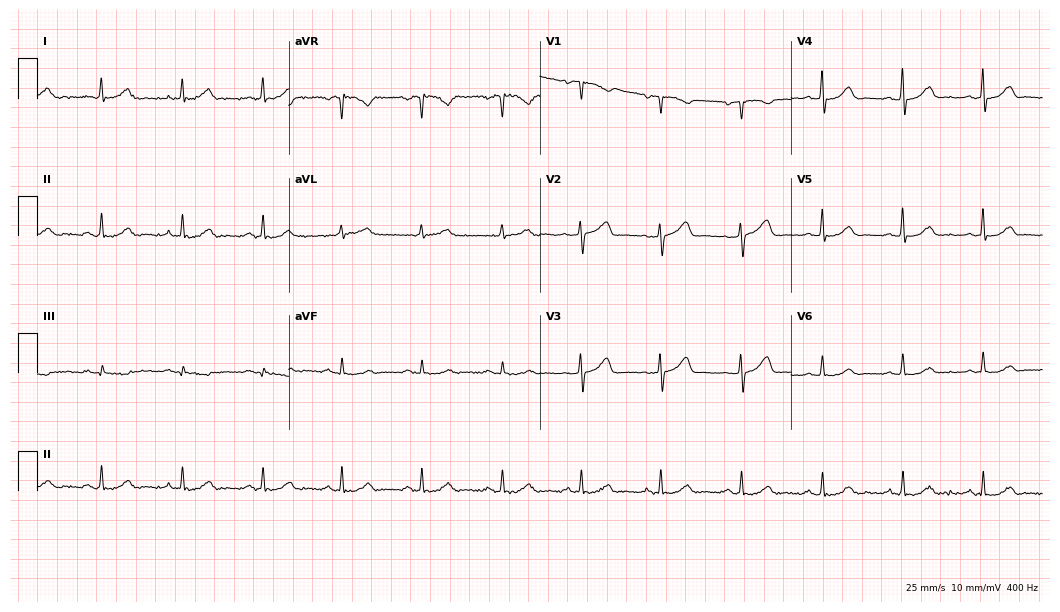
12-lead ECG from a female patient, 66 years old. No first-degree AV block, right bundle branch block (RBBB), left bundle branch block (LBBB), sinus bradycardia, atrial fibrillation (AF) or sinus tachycardia recorded for this tracing.